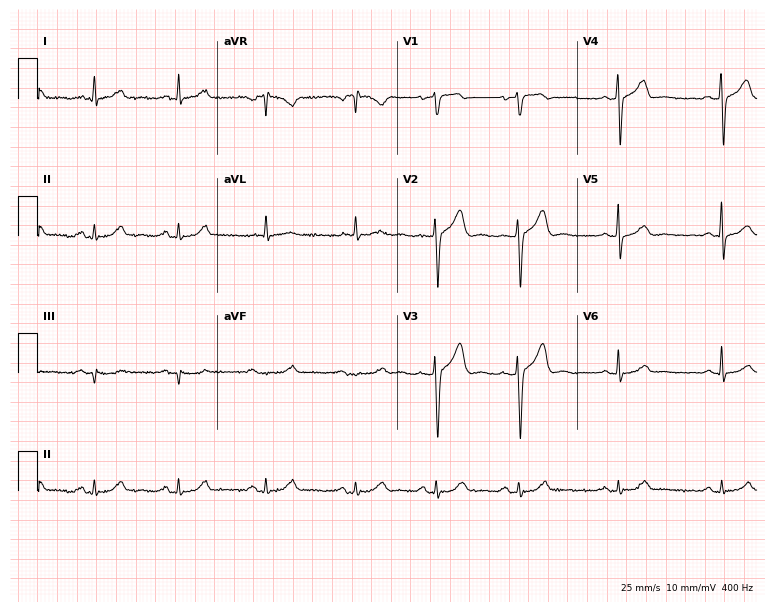
Electrocardiogram, a male patient, 59 years old. Overall reading on record: normal ECG.